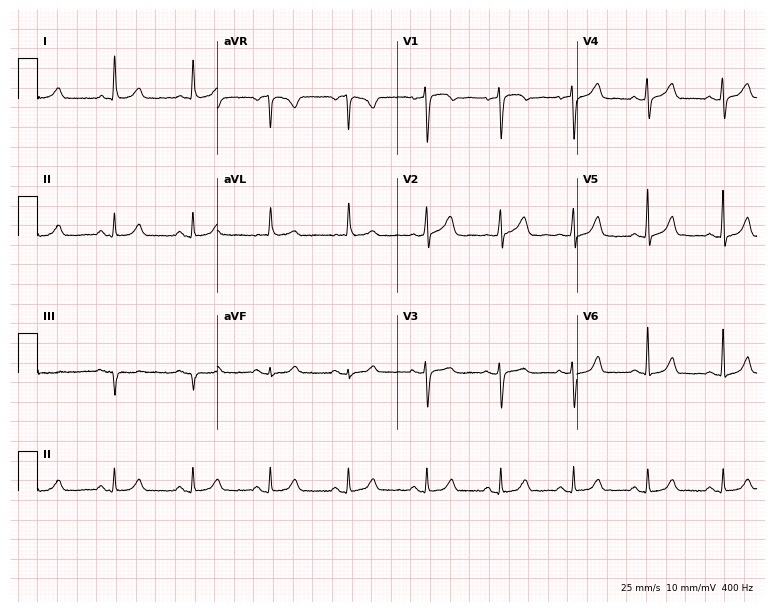
ECG — a 76-year-old female. Labelled as a normal ECG.